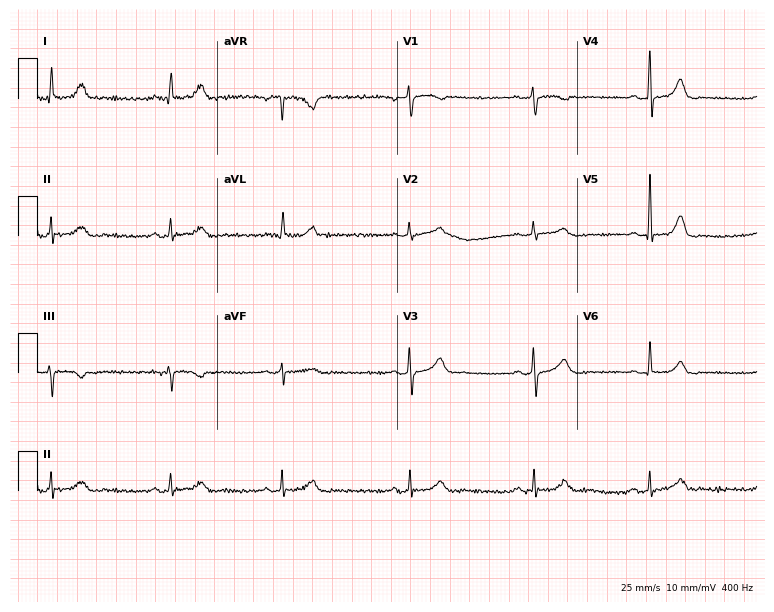
12-lead ECG (7.3-second recording at 400 Hz) from a 59-year-old woman. Findings include sinus bradycardia (a sinus rate of 50 beats per minute or less).